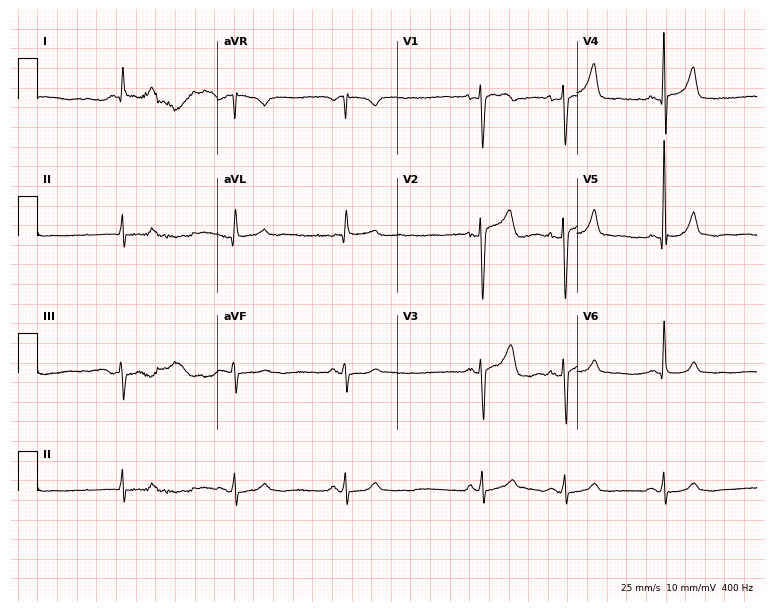
Standard 12-lead ECG recorded from a male, 69 years old (7.3-second recording at 400 Hz). Read as a normal ECG.